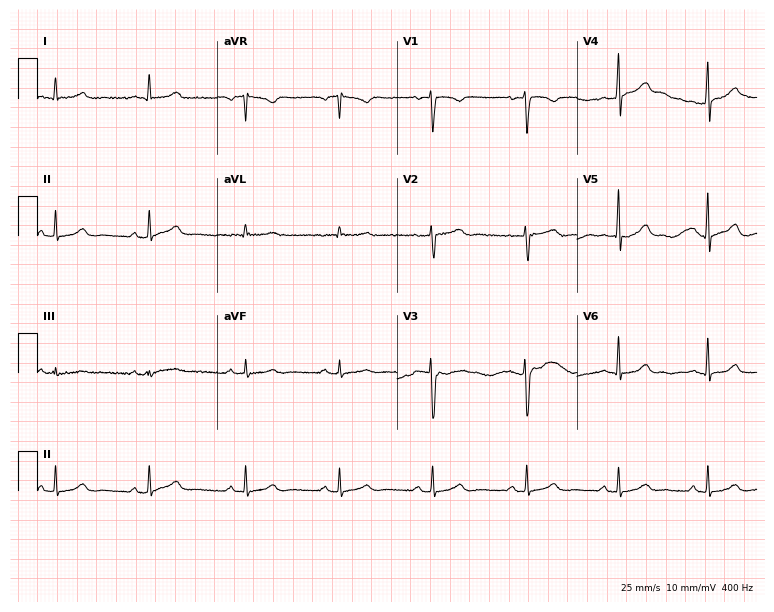
12-lead ECG from a female patient, 30 years old. Screened for six findings — first-degree AV block, right bundle branch block, left bundle branch block, sinus bradycardia, atrial fibrillation, sinus tachycardia — none is recorded.